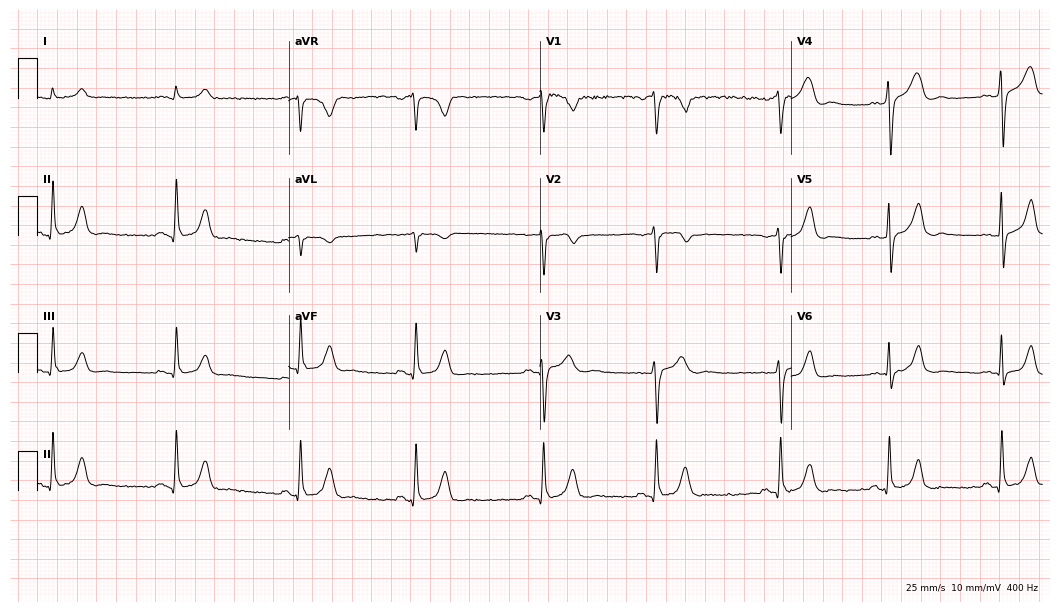
Electrocardiogram, a 49-year-old male patient. Of the six screened findings (first-degree AV block, right bundle branch block, left bundle branch block, sinus bradycardia, atrial fibrillation, sinus tachycardia), none is recorded. Findings outside these six are not listed.